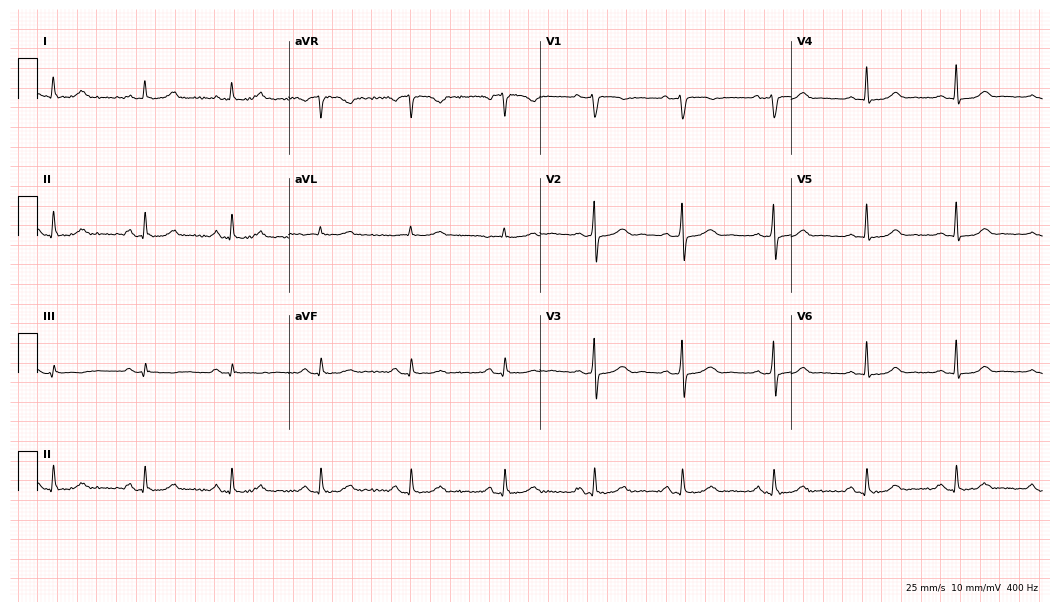
Electrocardiogram (10.2-second recording at 400 Hz), a woman, 52 years old. Of the six screened findings (first-degree AV block, right bundle branch block, left bundle branch block, sinus bradycardia, atrial fibrillation, sinus tachycardia), none is recorded.